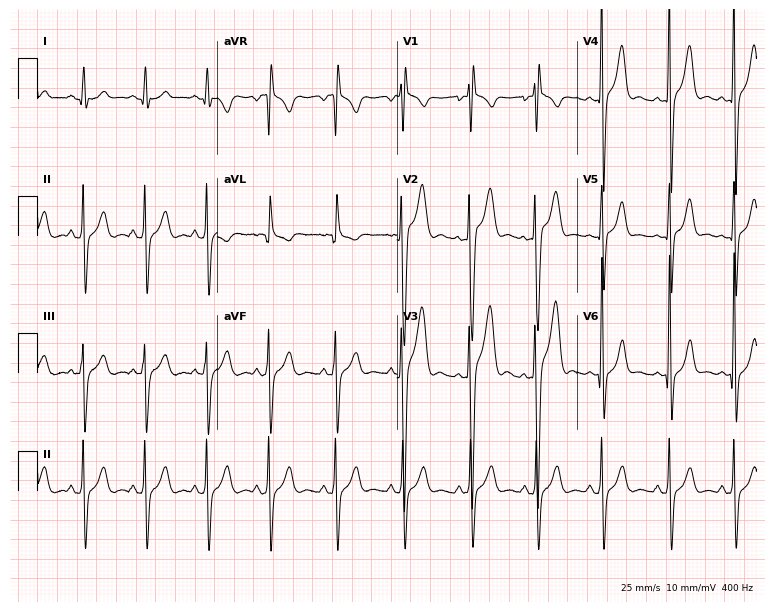
ECG — an 18-year-old man. Screened for six findings — first-degree AV block, right bundle branch block, left bundle branch block, sinus bradycardia, atrial fibrillation, sinus tachycardia — none is recorded.